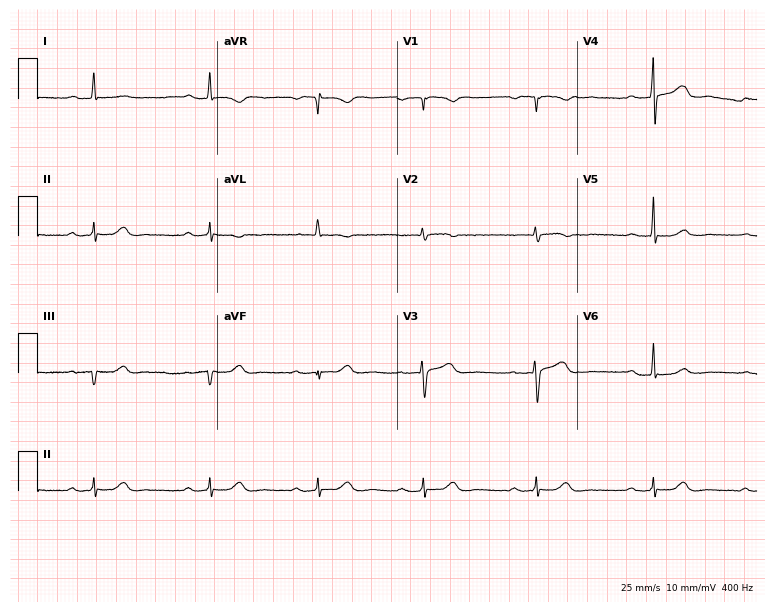
Electrocardiogram (7.3-second recording at 400 Hz), a 56-year-old woman. Interpretation includes first-degree AV block.